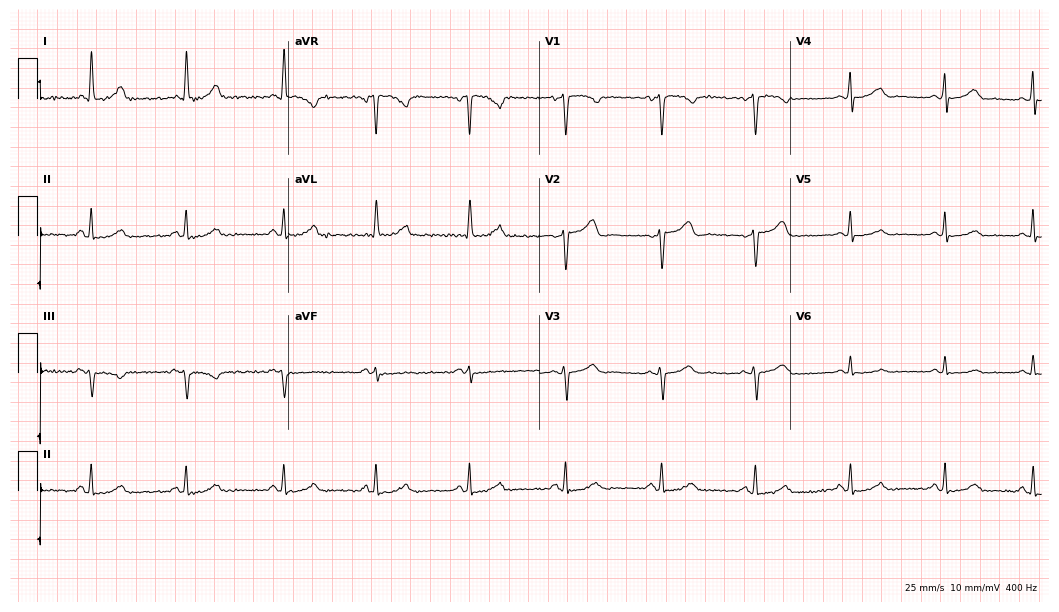
ECG (10.2-second recording at 400 Hz) — a woman, 46 years old. Labelled as a normal ECG.